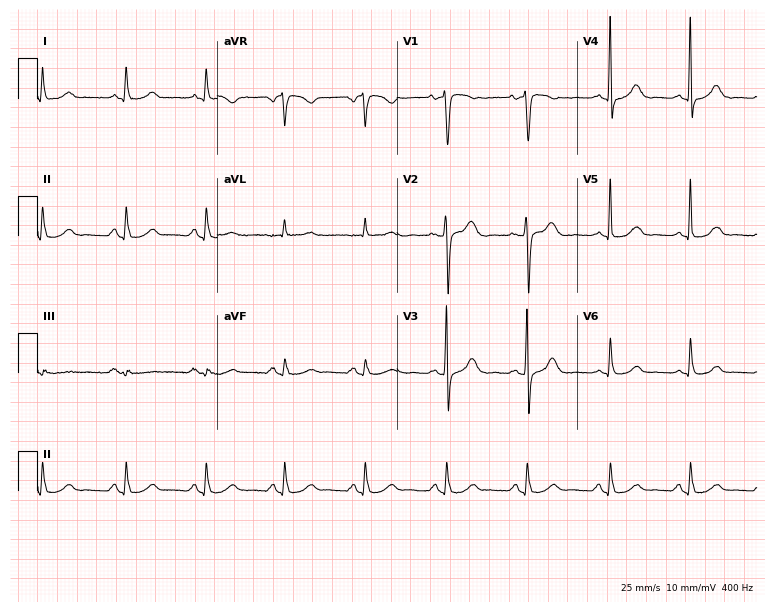
Standard 12-lead ECG recorded from a 70-year-old female. Read as a normal ECG.